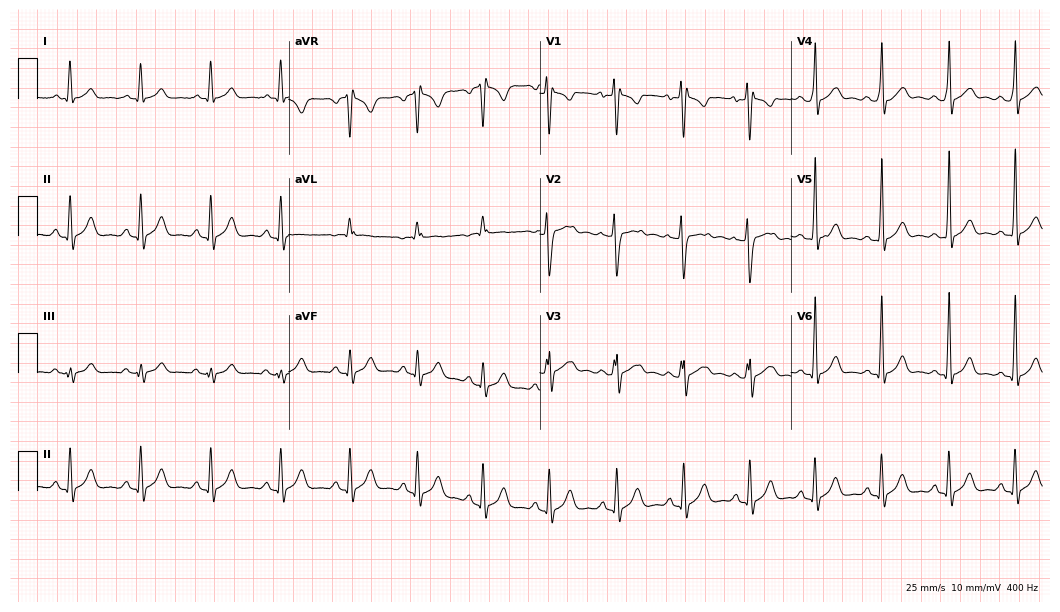
12-lead ECG (10.2-second recording at 400 Hz) from a male, 19 years old. Screened for six findings — first-degree AV block, right bundle branch block, left bundle branch block, sinus bradycardia, atrial fibrillation, sinus tachycardia — none is recorded. Findings outside these six are not listed.